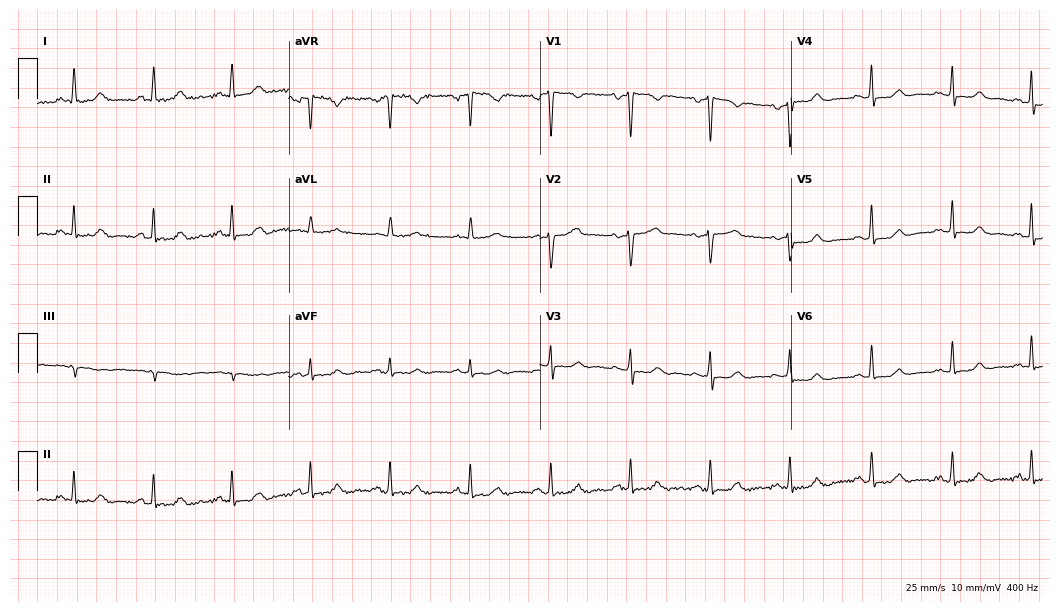
Standard 12-lead ECG recorded from a 65-year-old female patient. None of these six findings is recorded: first-degree AV block, right bundle branch block (RBBB), left bundle branch block (LBBB), sinus bradycardia, atrial fibrillation (AF), sinus tachycardia. Findings outside these six are not listed.